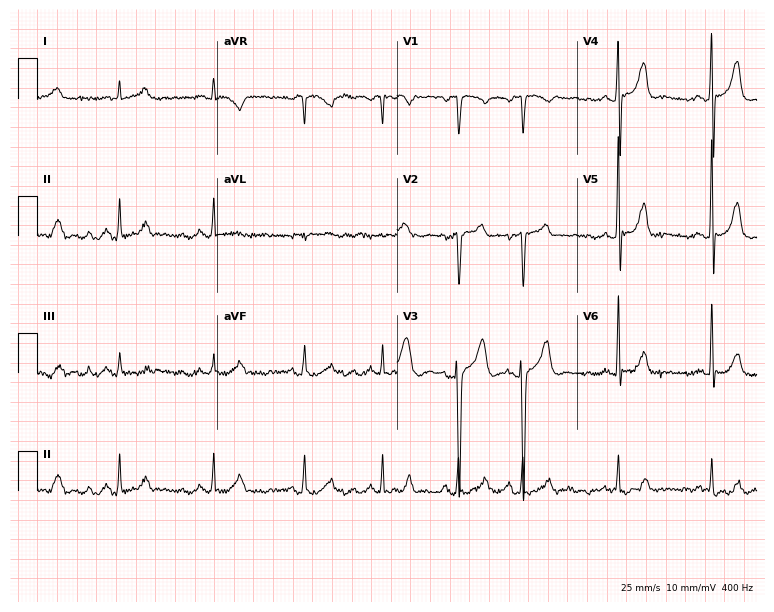
12-lead ECG from a 69-year-old man (7.3-second recording at 400 Hz). No first-degree AV block, right bundle branch block, left bundle branch block, sinus bradycardia, atrial fibrillation or sinus tachycardia recorded for this tracing. Findings outside these six are not listed.